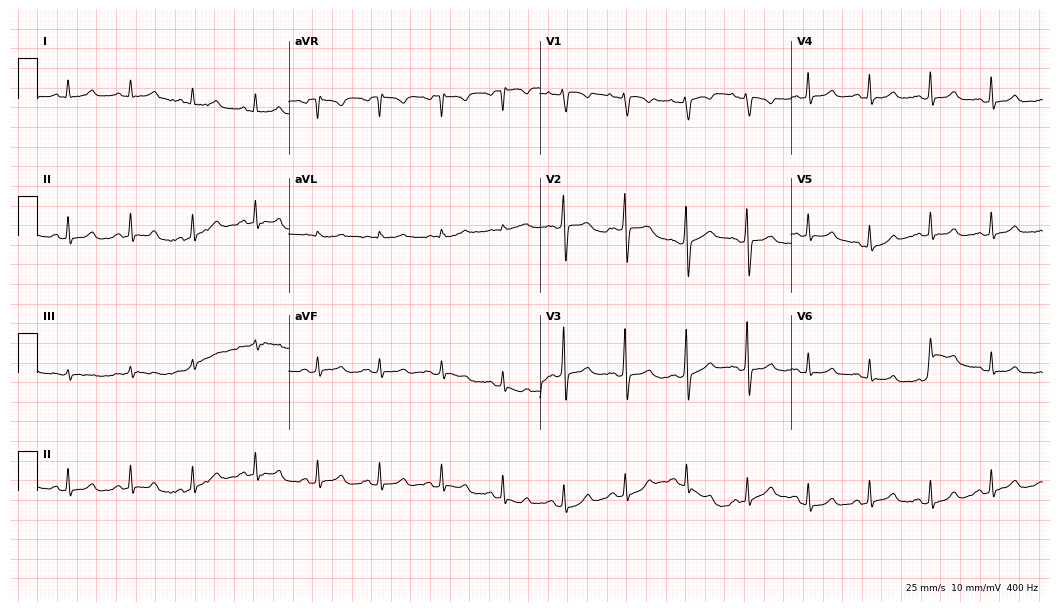
Resting 12-lead electrocardiogram. Patient: a woman, 66 years old. None of these six findings is recorded: first-degree AV block, right bundle branch block (RBBB), left bundle branch block (LBBB), sinus bradycardia, atrial fibrillation (AF), sinus tachycardia.